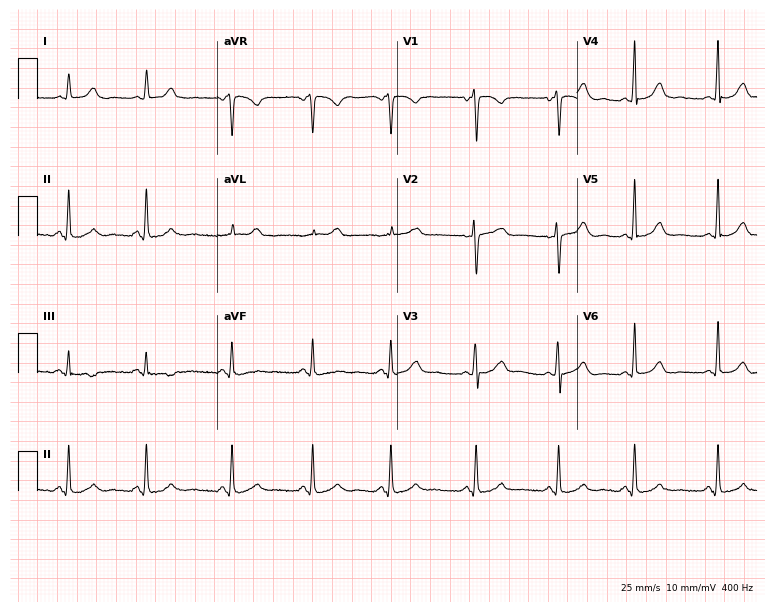
Electrocardiogram (7.3-second recording at 400 Hz), a female patient, 29 years old. Of the six screened findings (first-degree AV block, right bundle branch block, left bundle branch block, sinus bradycardia, atrial fibrillation, sinus tachycardia), none is recorded. Other findings, if any, are not listed.